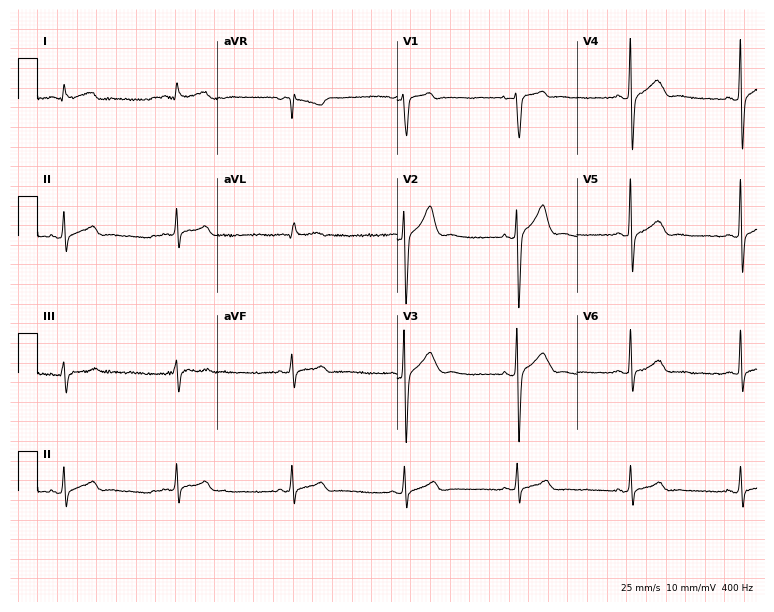
Resting 12-lead electrocardiogram. Patient: a male, 37 years old. None of these six findings is recorded: first-degree AV block, right bundle branch block (RBBB), left bundle branch block (LBBB), sinus bradycardia, atrial fibrillation (AF), sinus tachycardia. Other findings, if any, are not listed.